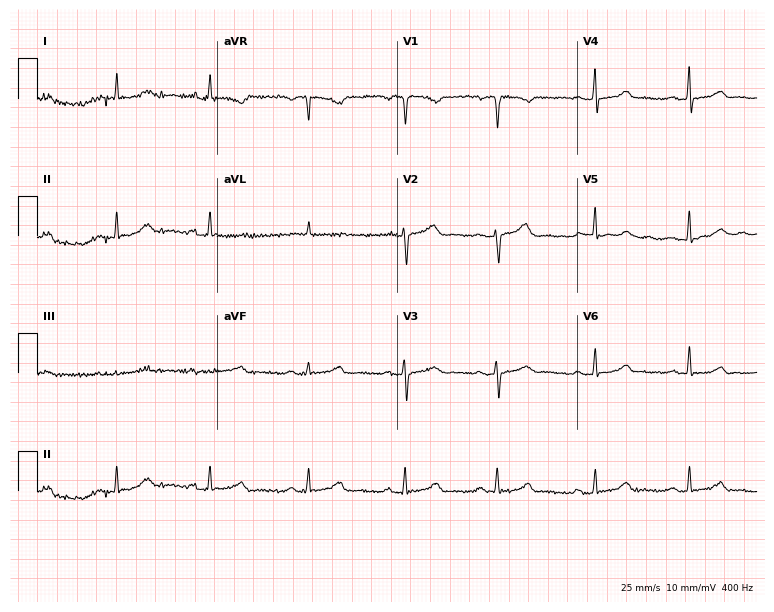
ECG — a woman, 43 years old. Labelled as a normal ECG.